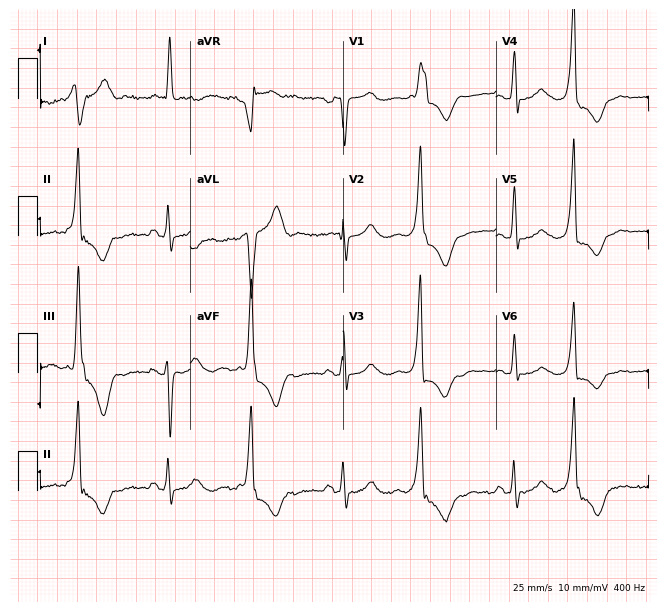
Resting 12-lead electrocardiogram. Patient: an 81-year-old female. None of these six findings is recorded: first-degree AV block, right bundle branch block (RBBB), left bundle branch block (LBBB), sinus bradycardia, atrial fibrillation (AF), sinus tachycardia.